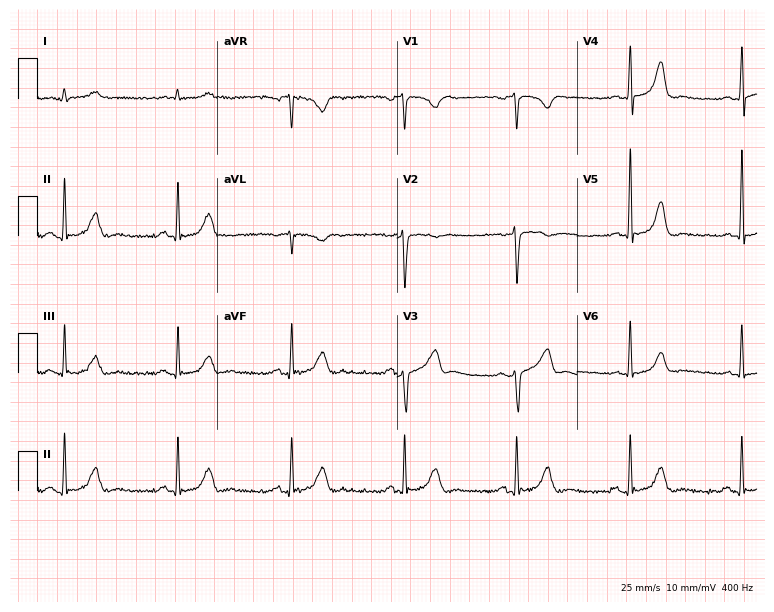
ECG — a man, 63 years old. Screened for six findings — first-degree AV block, right bundle branch block (RBBB), left bundle branch block (LBBB), sinus bradycardia, atrial fibrillation (AF), sinus tachycardia — none is recorded.